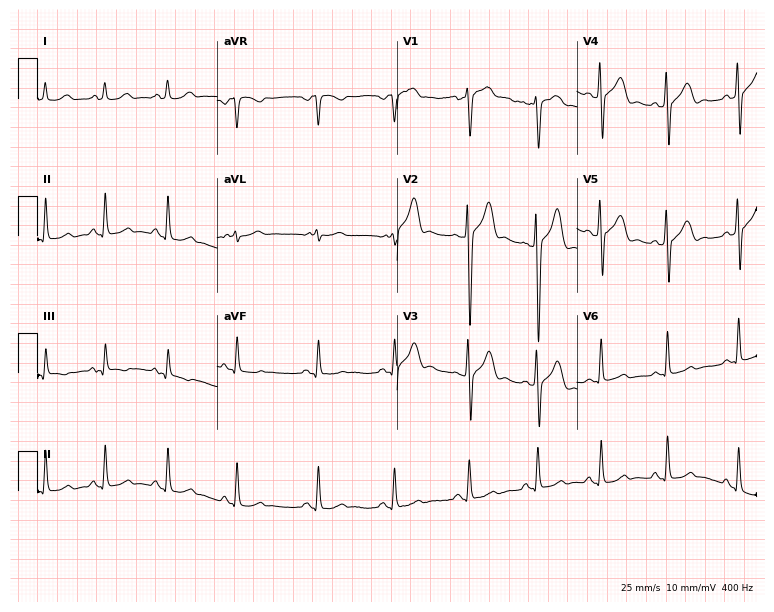
Electrocardiogram (7.3-second recording at 400 Hz), a 29-year-old male. Of the six screened findings (first-degree AV block, right bundle branch block (RBBB), left bundle branch block (LBBB), sinus bradycardia, atrial fibrillation (AF), sinus tachycardia), none is recorded. Other findings, if any, are not listed.